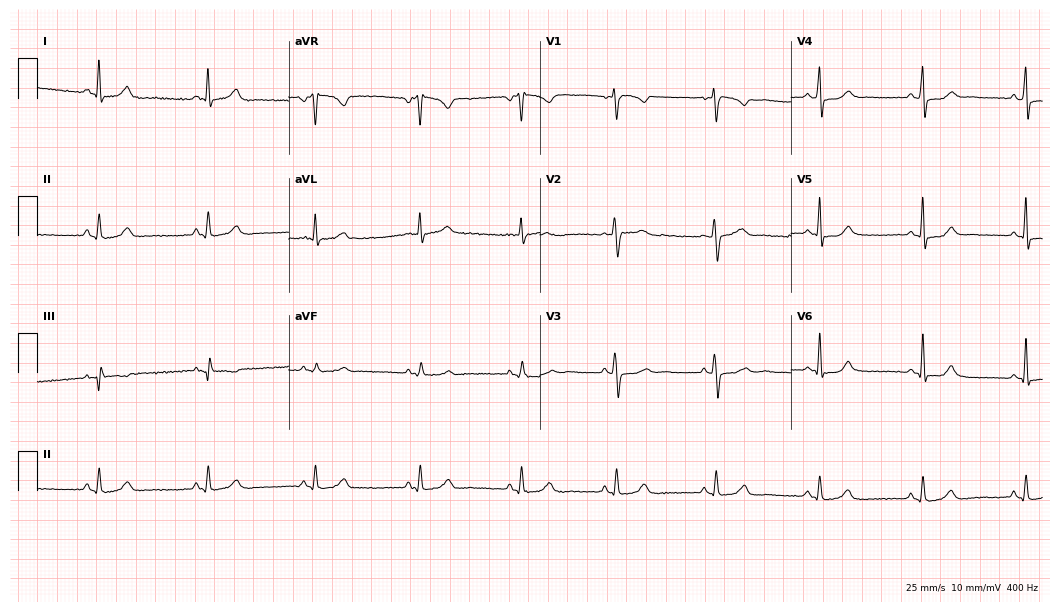
Resting 12-lead electrocardiogram (10.2-second recording at 400 Hz). Patient: a female, 46 years old. Read as a normal ECG.